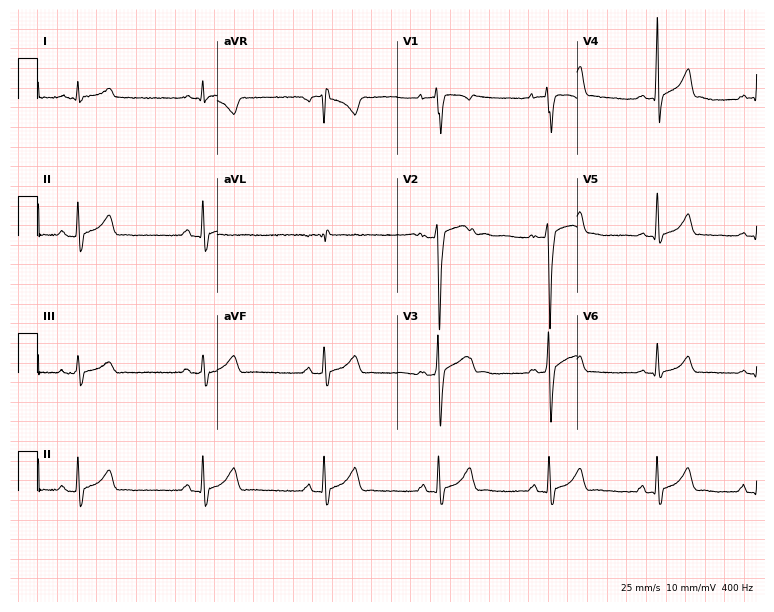
12-lead ECG from a 17-year-old male. Labelled as a normal ECG.